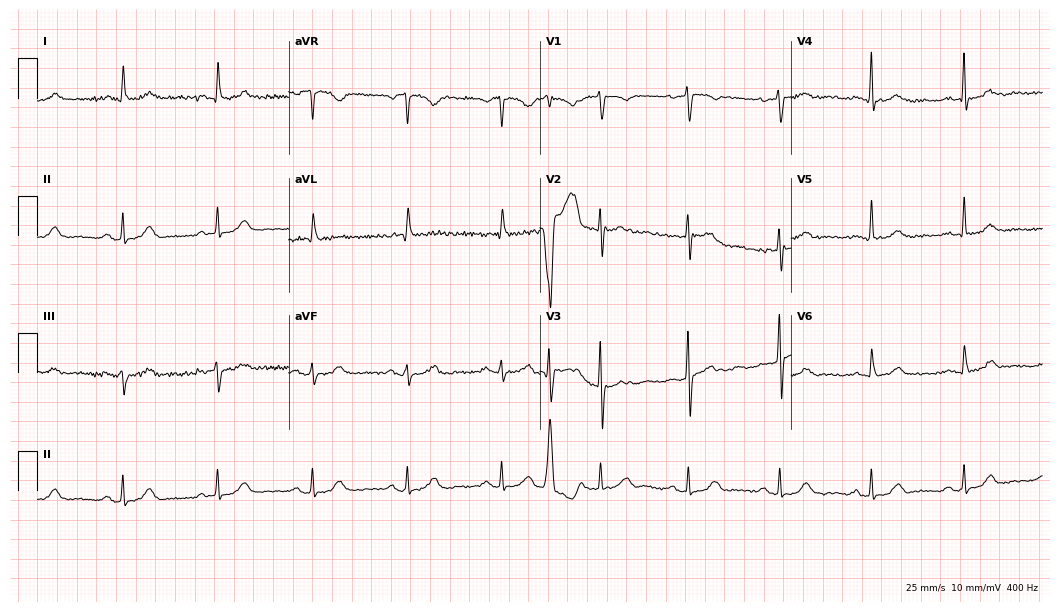
Resting 12-lead electrocardiogram (10.2-second recording at 400 Hz). Patient: a female, 81 years old. Read as a normal ECG.